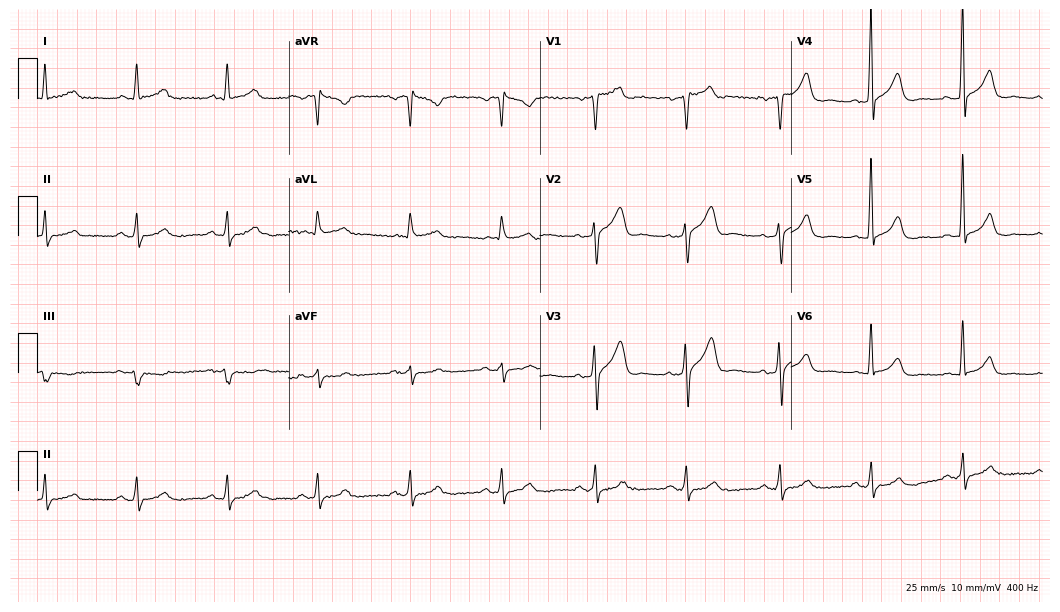
Standard 12-lead ECG recorded from a male, 66 years old. None of these six findings is recorded: first-degree AV block, right bundle branch block, left bundle branch block, sinus bradycardia, atrial fibrillation, sinus tachycardia.